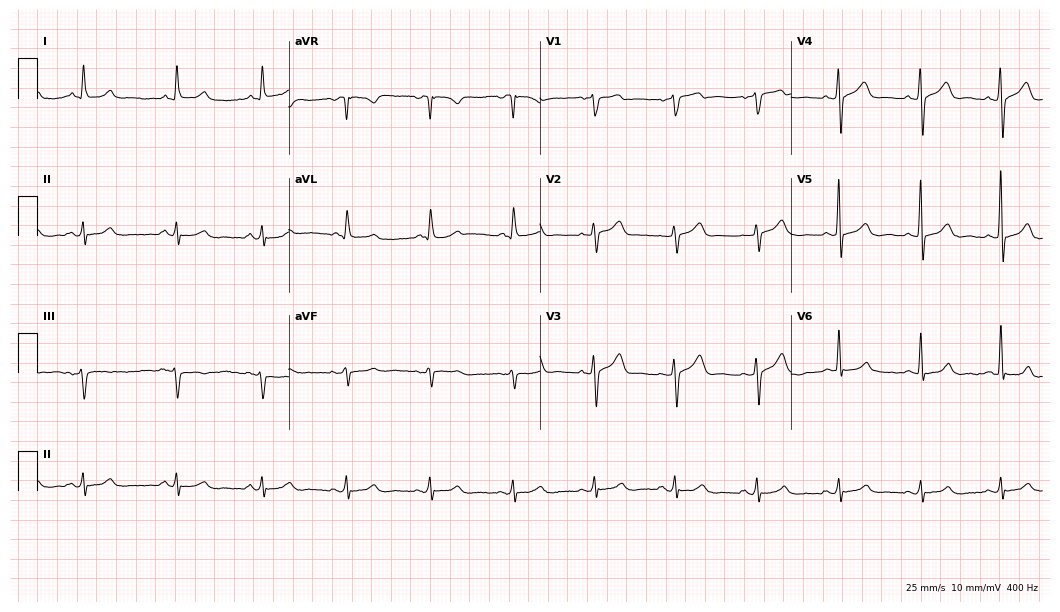
Electrocardiogram (10.2-second recording at 400 Hz), a male patient, 68 years old. Of the six screened findings (first-degree AV block, right bundle branch block (RBBB), left bundle branch block (LBBB), sinus bradycardia, atrial fibrillation (AF), sinus tachycardia), none is recorded. Only these six findings were labelled.